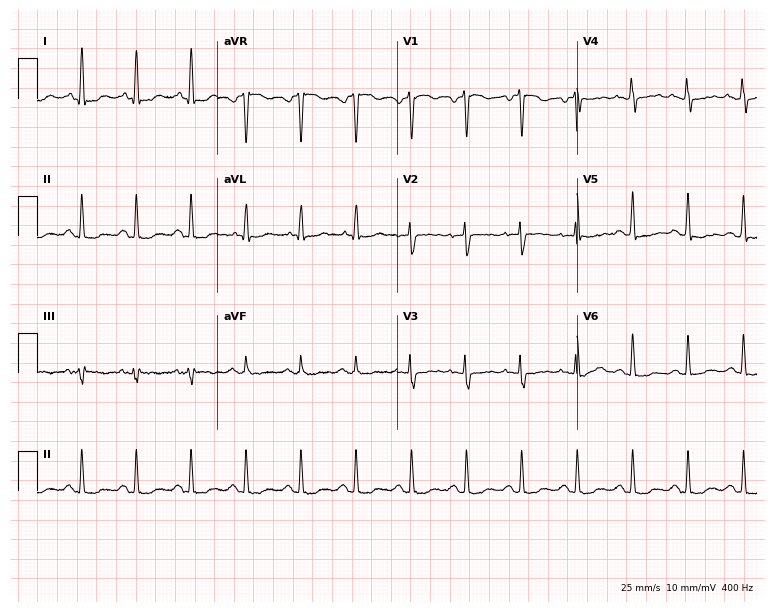
ECG (7.3-second recording at 400 Hz) — a woman, 54 years old. Findings include sinus tachycardia (a sinus rate of 100 beats per minute or more).